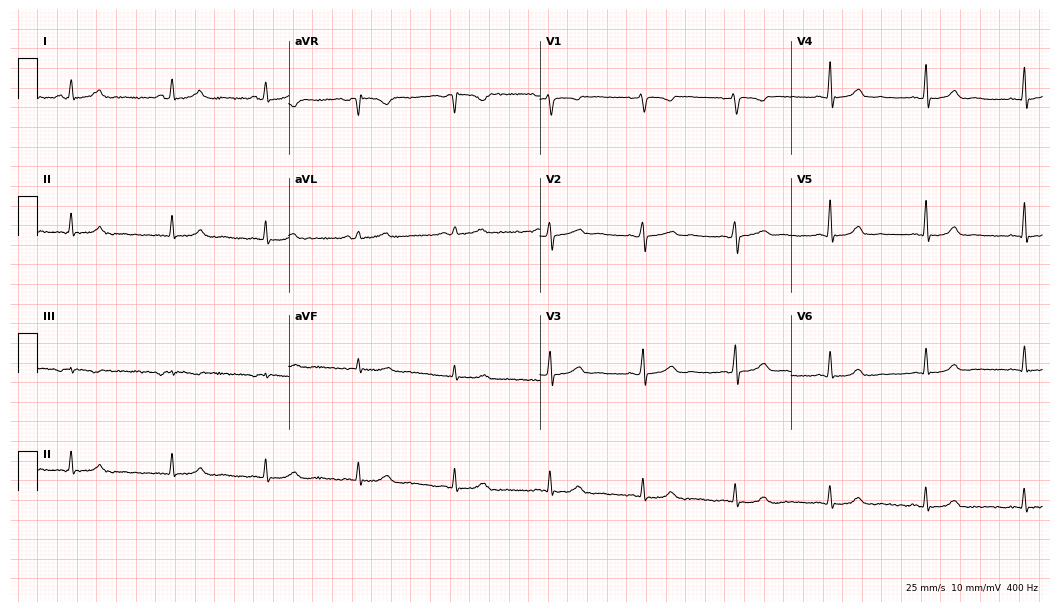
12-lead ECG (10.2-second recording at 400 Hz) from a 35-year-old female patient. Labelled as a normal ECG.